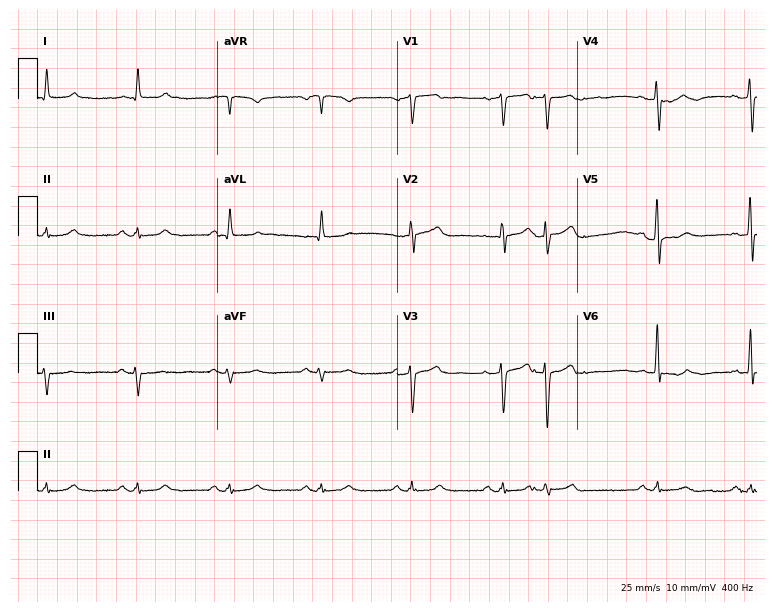
12-lead ECG (7.3-second recording at 400 Hz) from a man, 82 years old. Labelled as a normal ECG.